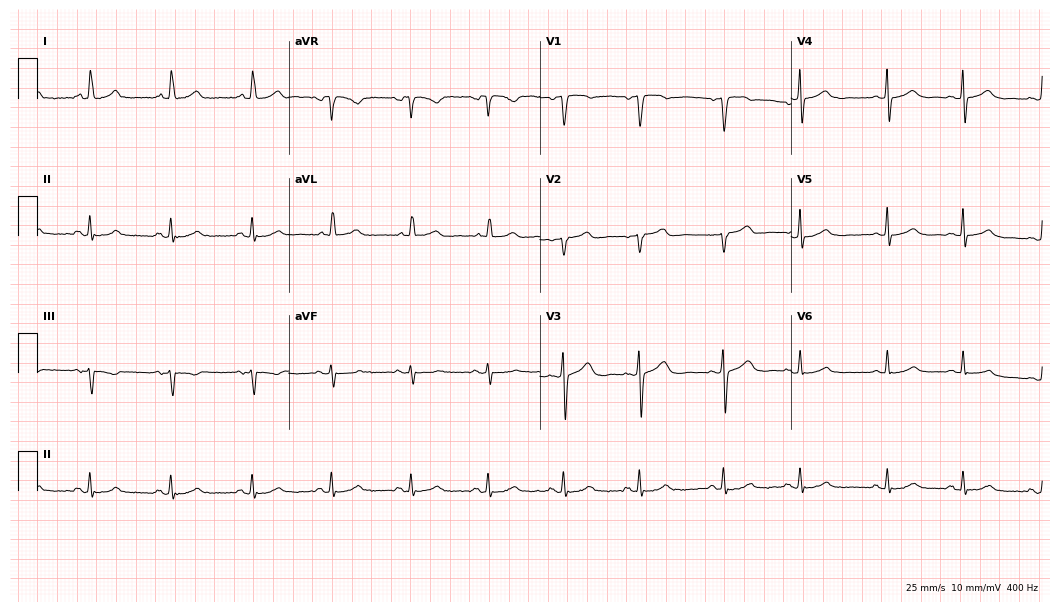
12-lead ECG (10.2-second recording at 400 Hz) from a 56-year-old female patient. Screened for six findings — first-degree AV block, right bundle branch block, left bundle branch block, sinus bradycardia, atrial fibrillation, sinus tachycardia — none is recorded.